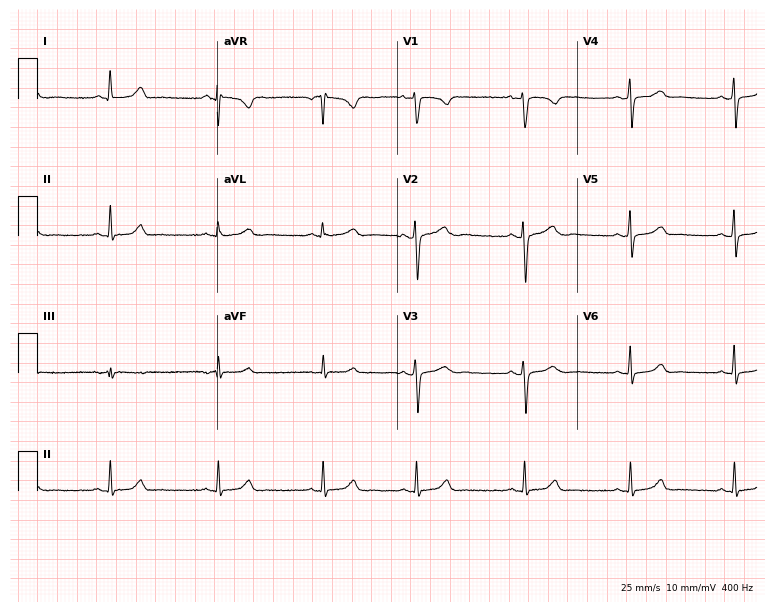
12-lead ECG from a 20-year-old woman (7.3-second recording at 400 Hz). Recorded interpretation: within normal limits.